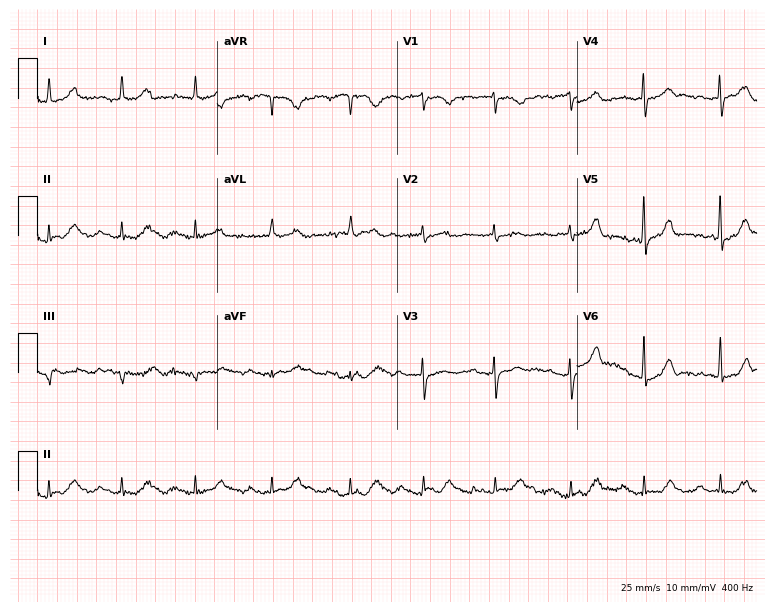
12-lead ECG from an 84-year-old female. Screened for six findings — first-degree AV block, right bundle branch block (RBBB), left bundle branch block (LBBB), sinus bradycardia, atrial fibrillation (AF), sinus tachycardia — none is recorded.